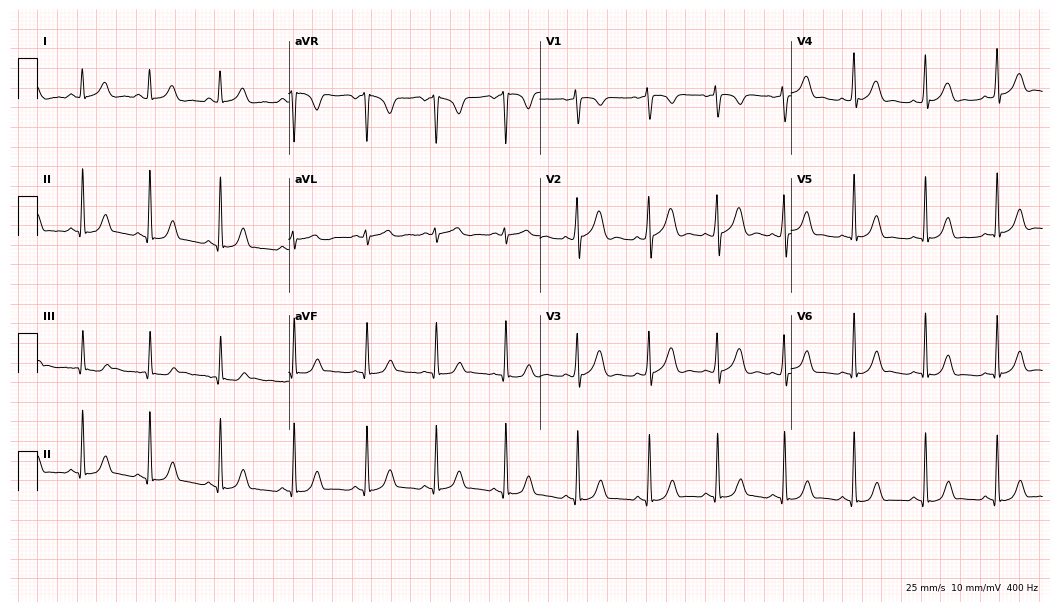
Resting 12-lead electrocardiogram. Patient: a female, 18 years old. None of these six findings is recorded: first-degree AV block, right bundle branch block, left bundle branch block, sinus bradycardia, atrial fibrillation, sinus tachycardia.